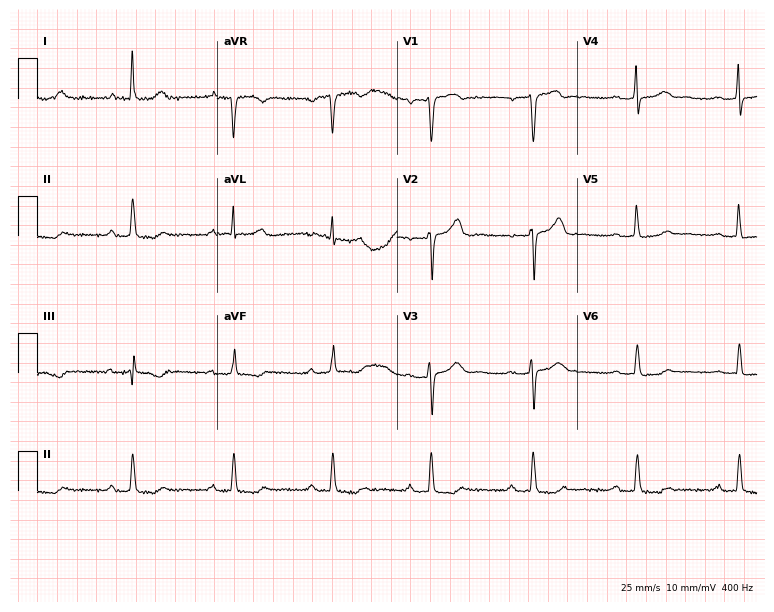
Resting 12-lead electrocardiogram. Patient: a female, 59 years old. The tracing shows first-degree AV block.